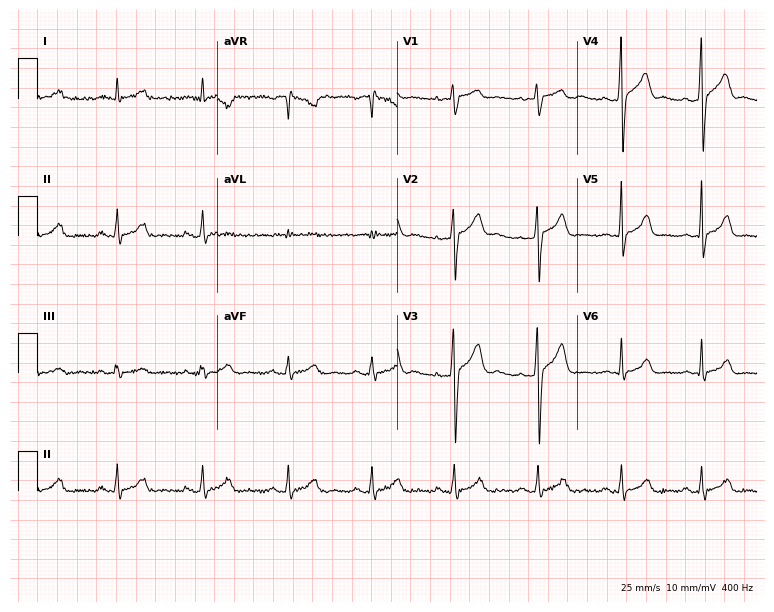
Standard 12-lead ECG recorded from a 25-year-old male. Read as a normal ECG.